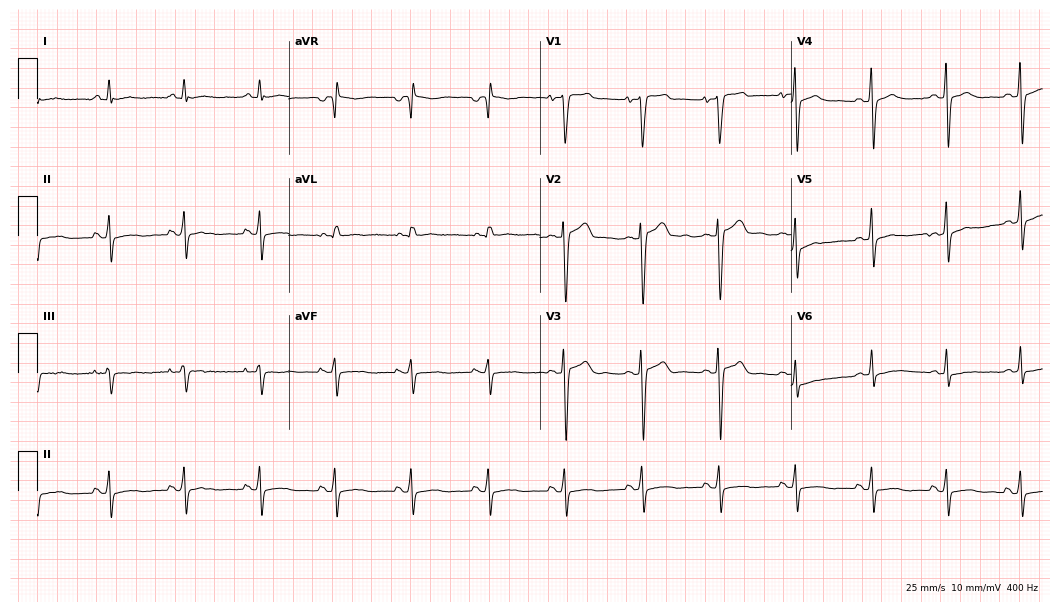
12-lead ECG from a male, 21 years old (10.2-second recording at 400 Hz). Recorded interpretation: within normal limits.